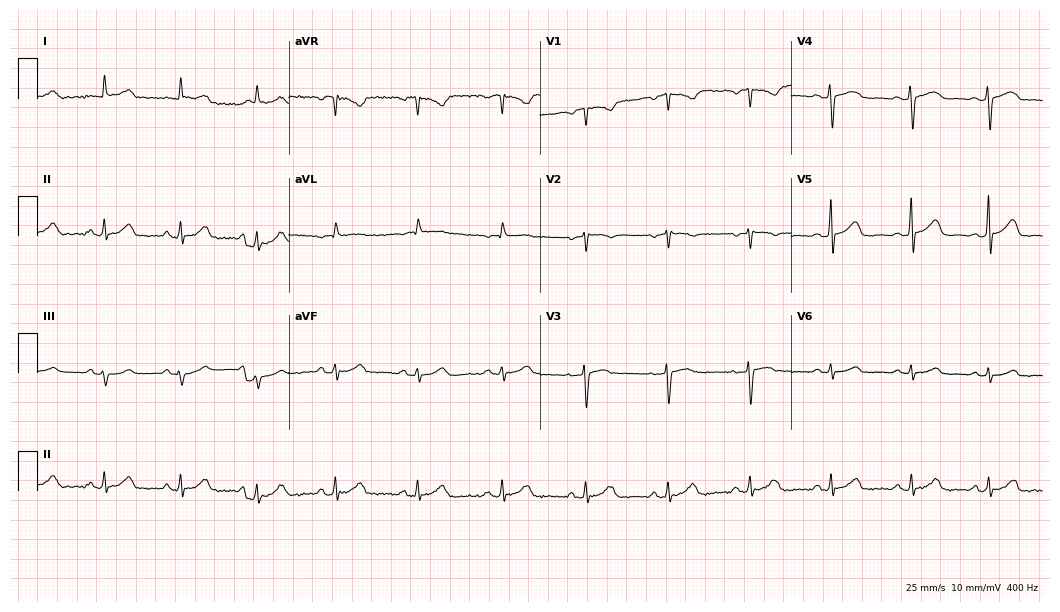
12-lead ECG from a female, 50 years old. Labelled as a normal ECG.